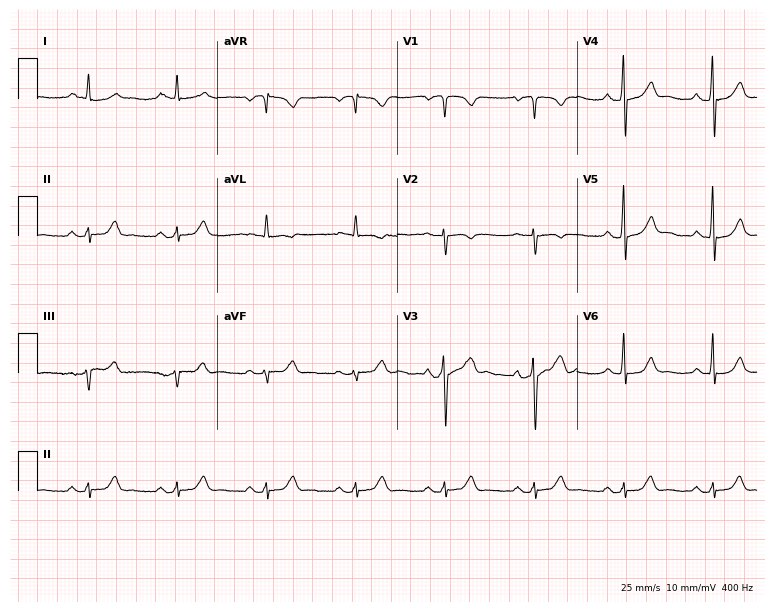
12-lead ECG from a 73-year-old male patient. Recorded interpretation: within normal limits.